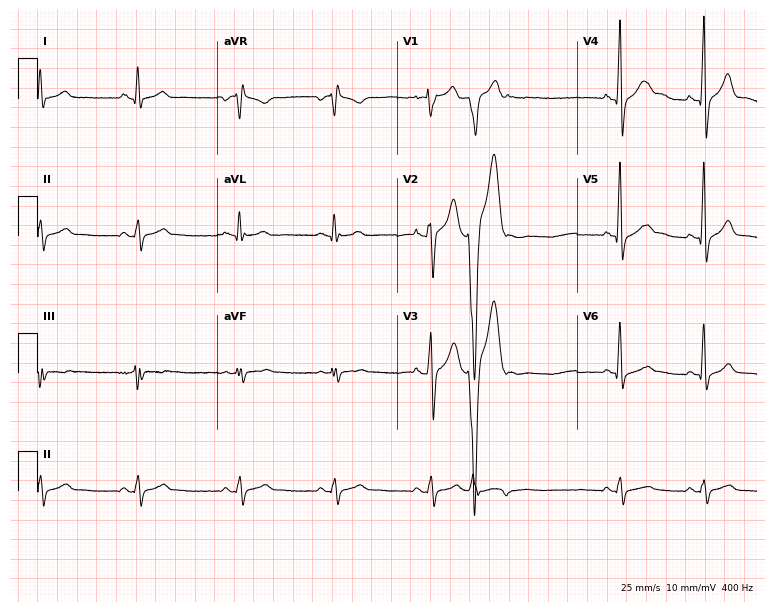
ECG (7.3-second recording at 400 Hz) — a 35-year-old male. Screened for six findings — first-degree AV block, right bundle branch block, left bundle branch block, sinus bradycardia, atrial fibrillation, sinus tachycardia — none is recorded. Findings outside these six are not listed.